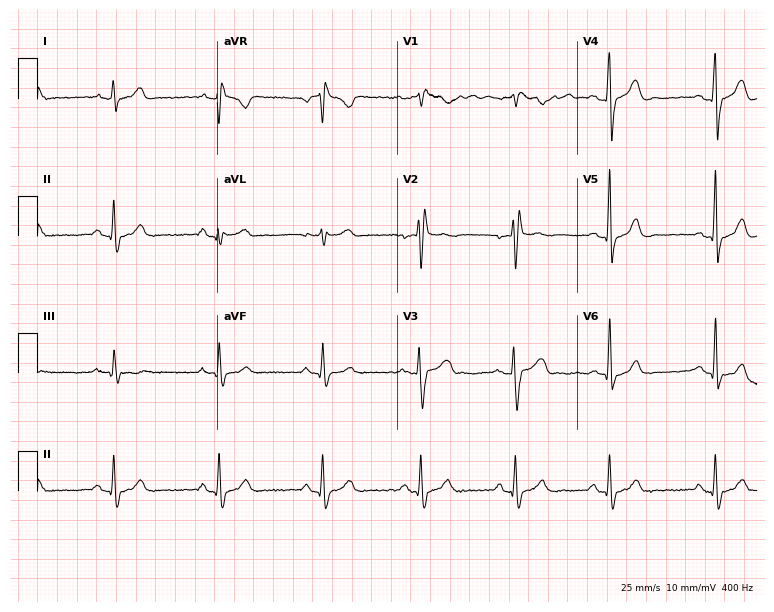
Electrocardiogram, a 31-year-old man. Interpretation includes right bundle branch block (RBBB).